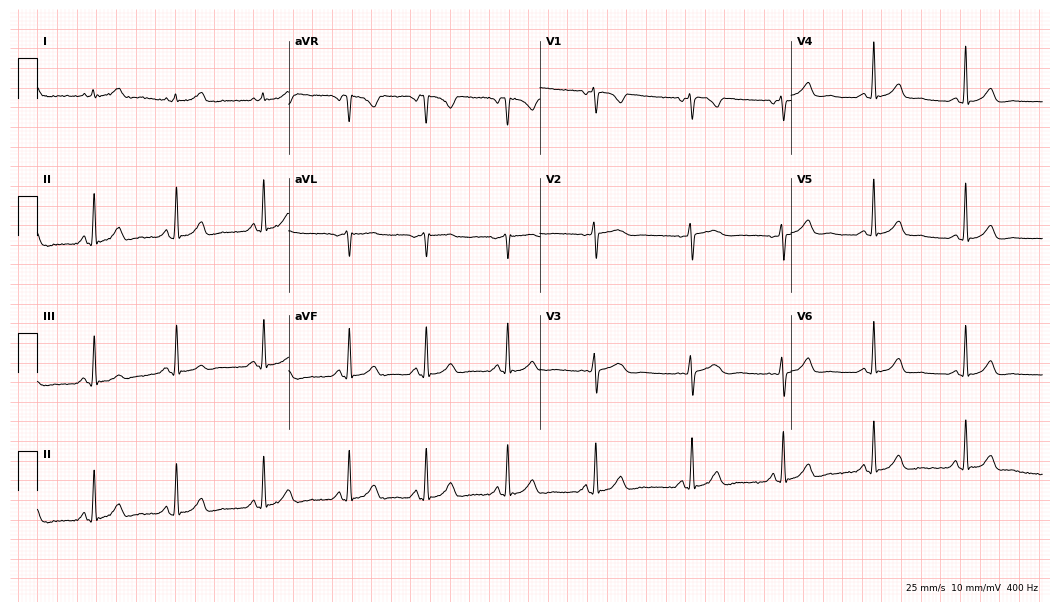
Resting 12-lead electrocardiogram (10.2-second recording at 400 Hz). Patient: a female, 42 years old. None of these six findings is recorded: first-degree AV block, right bundle branch block, left bundle branch block, sinus bradycardia, atrial fibrillation, sinus tachycardia.